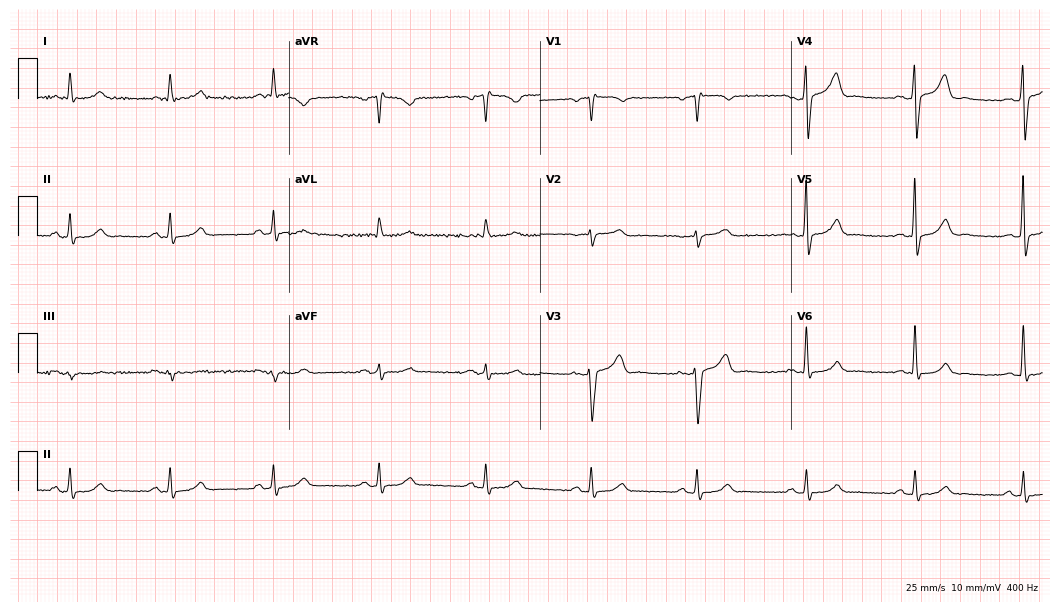
Electrocardiogram (10.2-second recording at 400 Hz), a male, 67 years old. Overall reading on record: normal ECG.